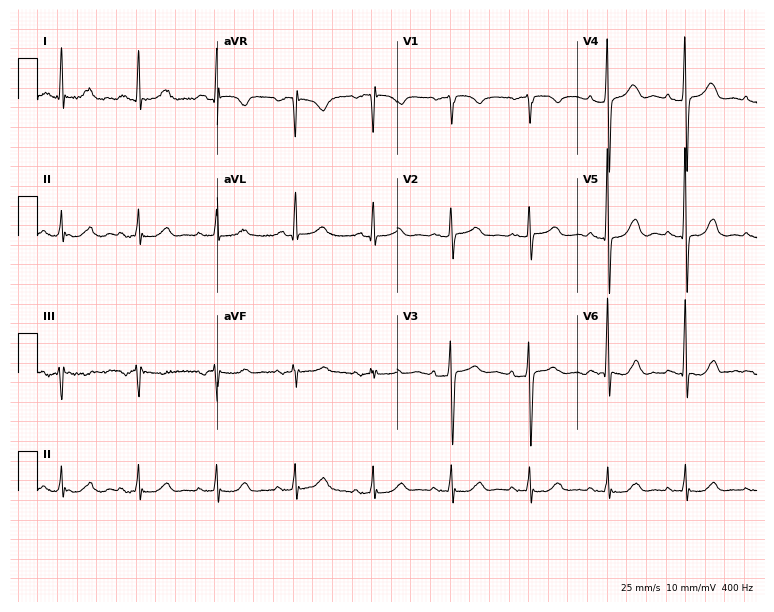
ECG — a 66-year-old woman. Labelled as a normal ECG.